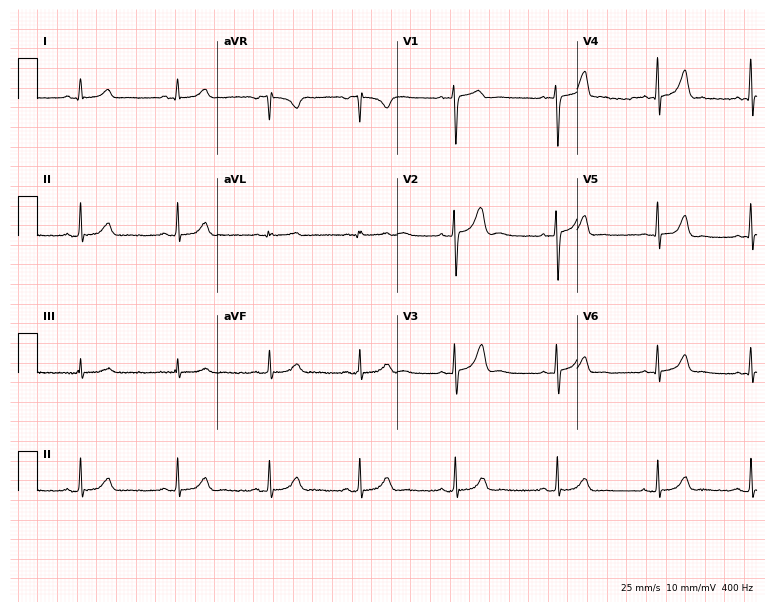
Electrocardiogram, a 26-year-old female. Of the six screened findings (first-degree AV block, right bundle branch block, left bundle branch block, sinus bradycardia, atrial fibrillation, sinus tachycardia), none is recorded. Only these six findings were labelled.